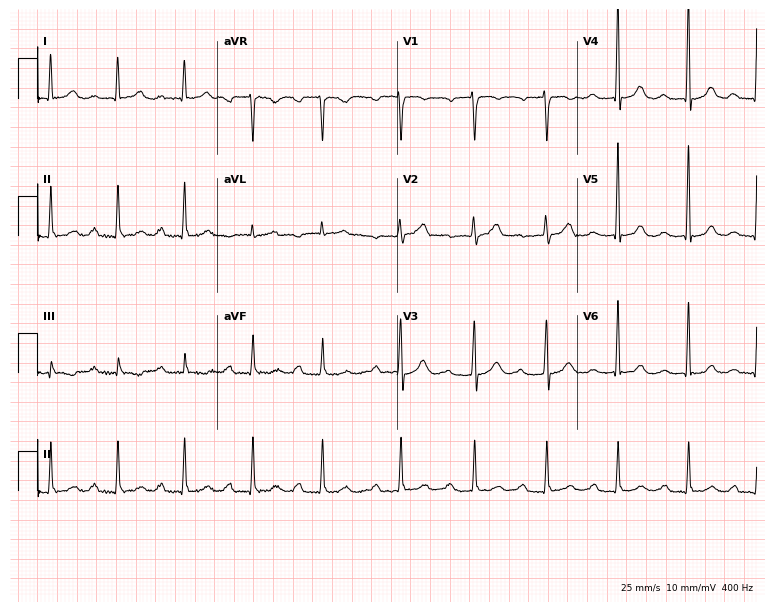
12-lead ECG from a female patient, 46 years old. Shows first-degree AV block.